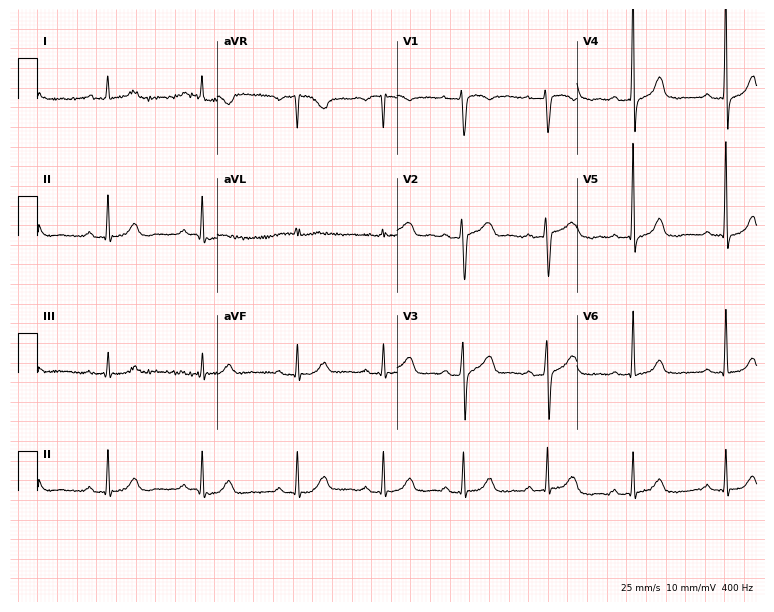
12-lead ECG from a female, 57 years old. Shows first-degree AV block.